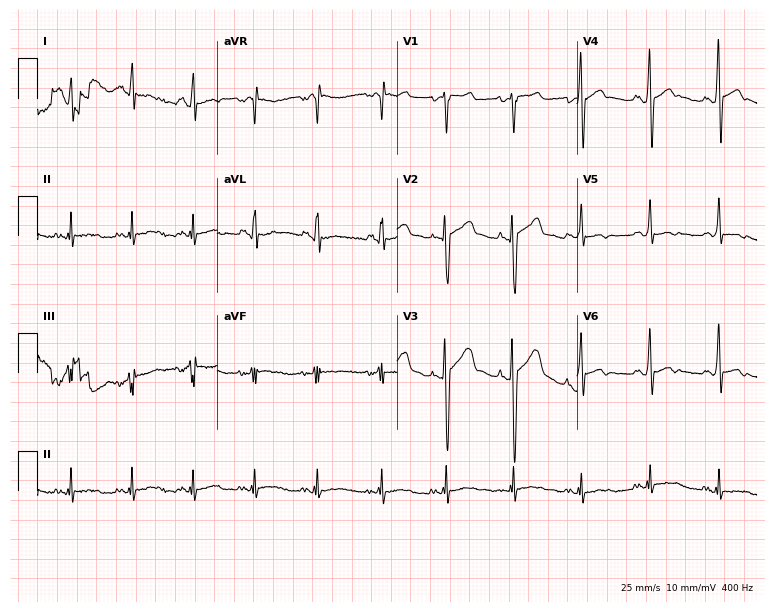
Electrocardiogram, a male patient, 39 years old. Overall reading on record: normal ECG.